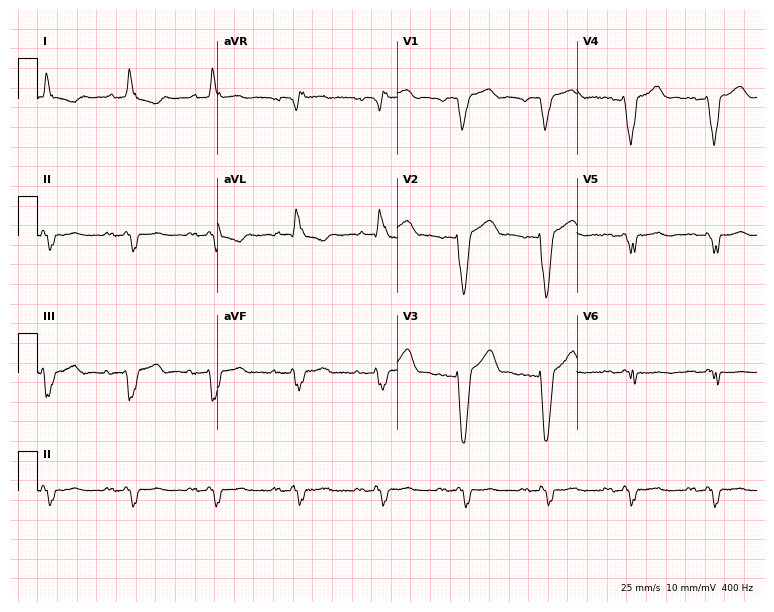
Electrocardiogram (7.3-second recording at 400 Hz), a female, 78 years old. Of the six screened findings (first-degree AV block, right bundle branch block, left bundle branch block, sinus bradycardia, atrial fibrillation, sinus tachycardia), none is recorded. Findings outside these six are not listed.